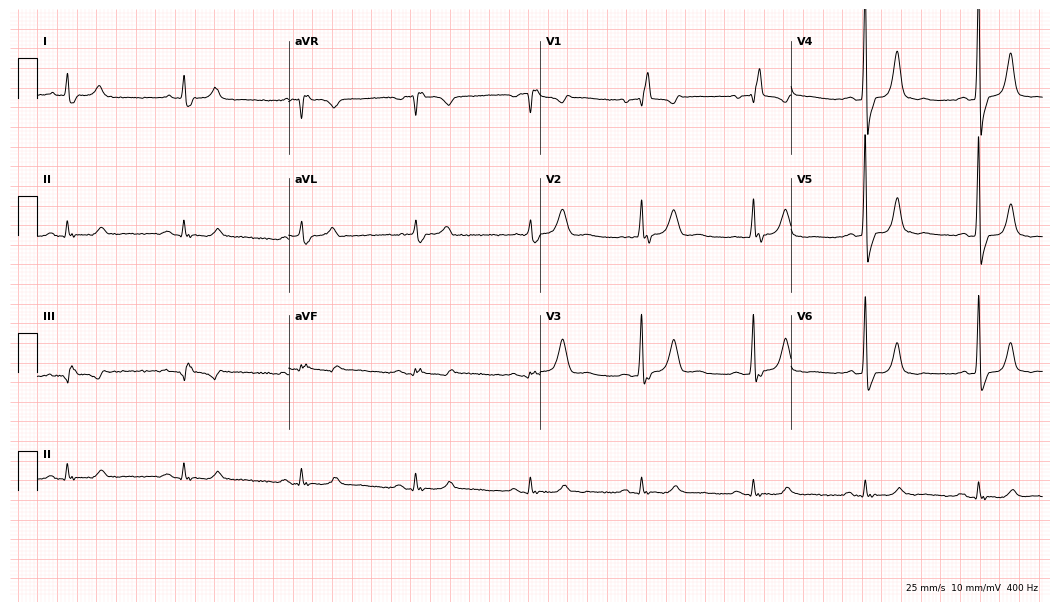
Electrocardiogram (10.2-second recording at 400 Hz), a 73-year-old woman. Of the six screened findings (first-degree AV block, right bundle branch block, left bundle branch block, sinus bradycardia, atrial fibrillation, sinus tachycardia), none is recorded. Only these six findings were labelled.